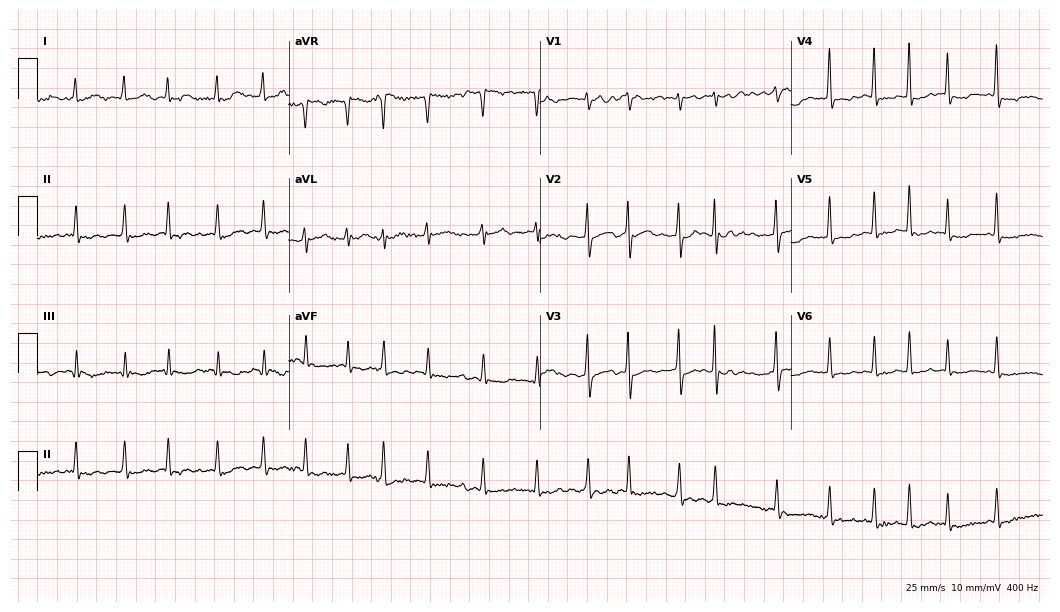
Resting 12-lead electrocardiogram (10.2-second recording at 400 Hz). Patient: a 30-year-old female. The tracing shows atrial fibrillation.